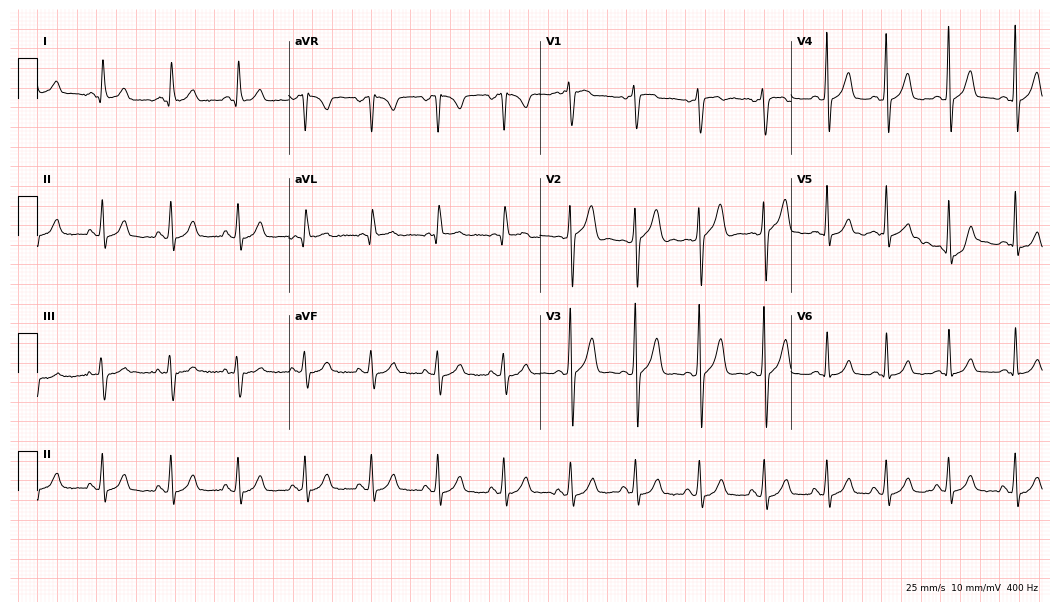
12-lead ECG from a male, 33 years old (10.2-second recording at 400 Hz). Recorded interpretation: within normal limits.